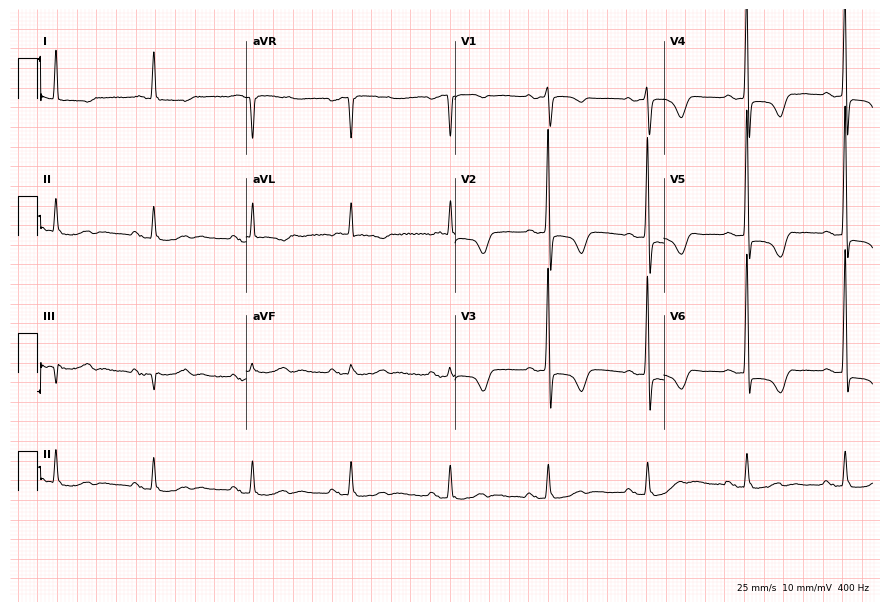
Resting 12-lead electrocardiogram (8.5-second recording at 400 Hz). Patient: a female, 81 years old. None of these six findings is recorded: first-degree AV block, right bundle branch block, left bundle branch block, sinus bradycardia, atrial fibrillation, sinus tachycardia.